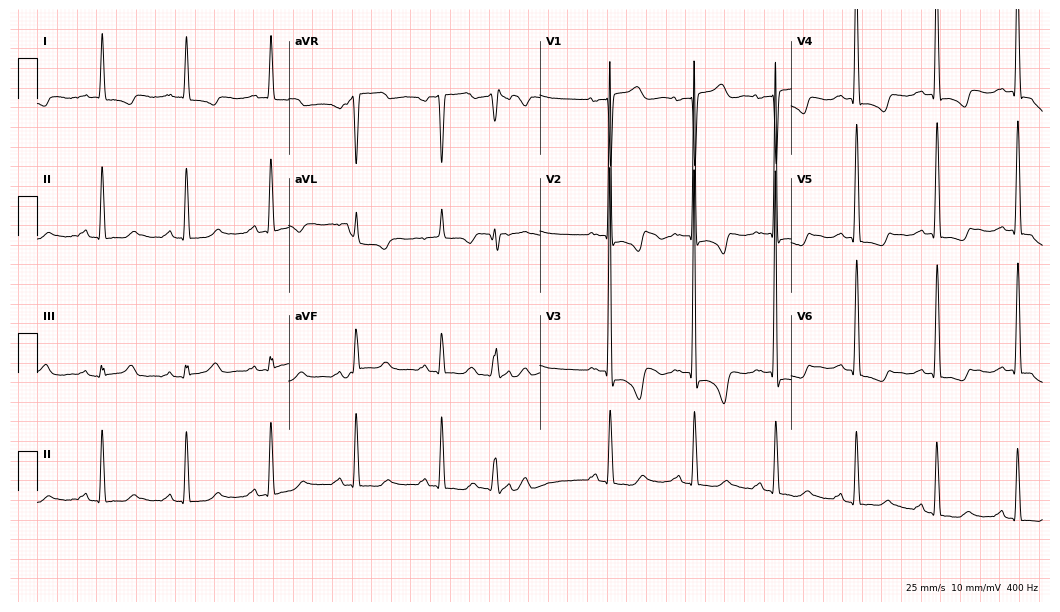
Standard 12-lead ECG recorded from a 77-year-old female (10.2-second recording at 400 Hz). None of these six findings is recorded: first-degree AV block, right bundle branch block, left bundle branch block, sinus bradycardia, atrial fibrillation, sinus tachycardia.